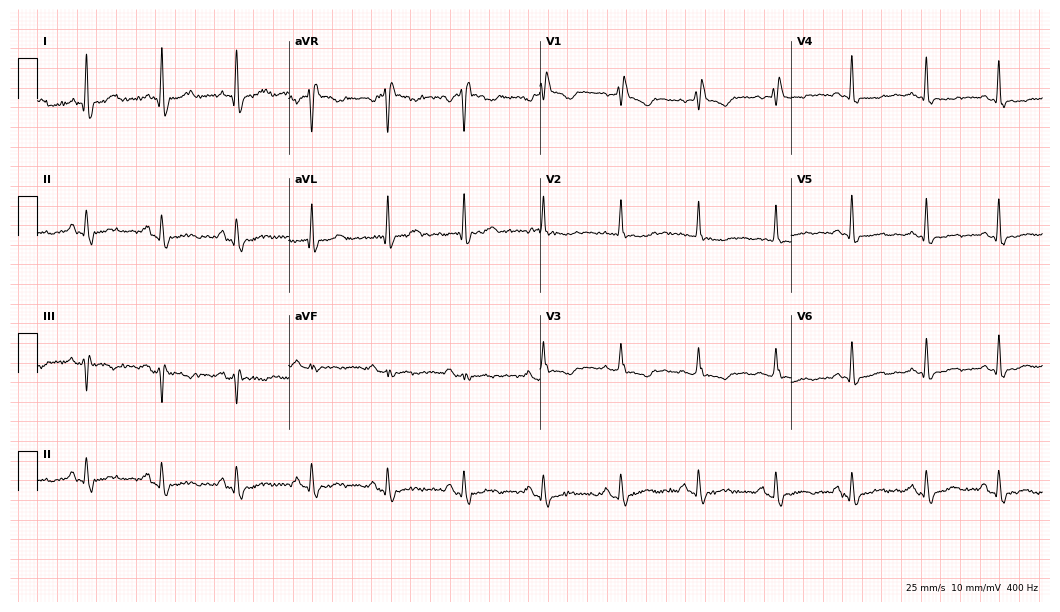
12-lead ECG (10.2-second recording at 400 Hz) from a female, 62 years old. Findings include right bundle branch block.